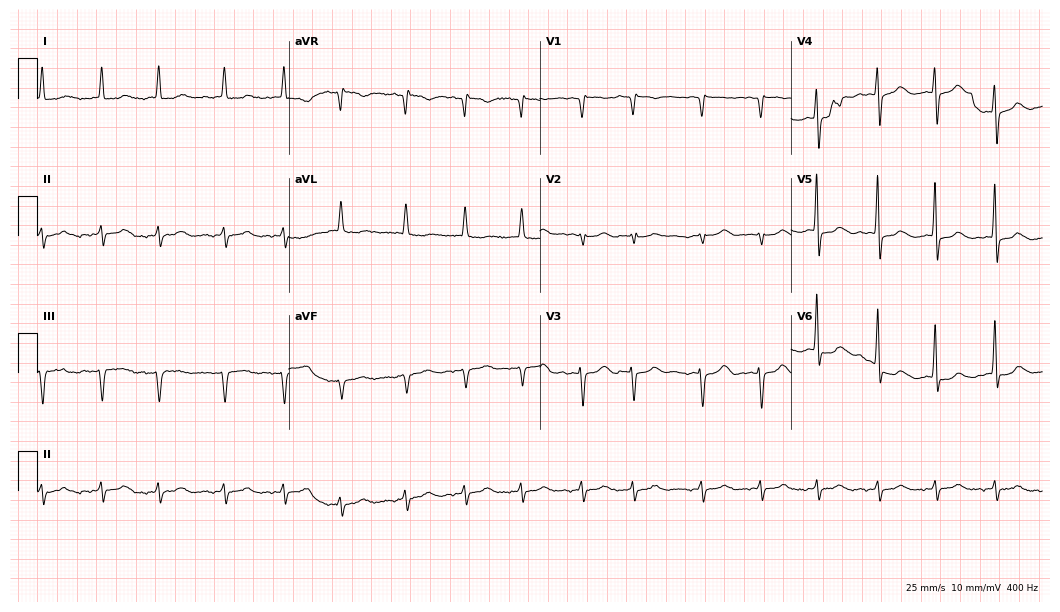
Standard 12-lead ECG recorded from an 80-year-old female (10.2-second recording at 400 Hz). None of these six findings is recorded: first-degree AV block, right bundle branch block (RBBB), left bundle branch block (LBBB), sinus bradycardia, atrial fibrillation (AF), sinus tachycardia. Findings outside these six are not listed.